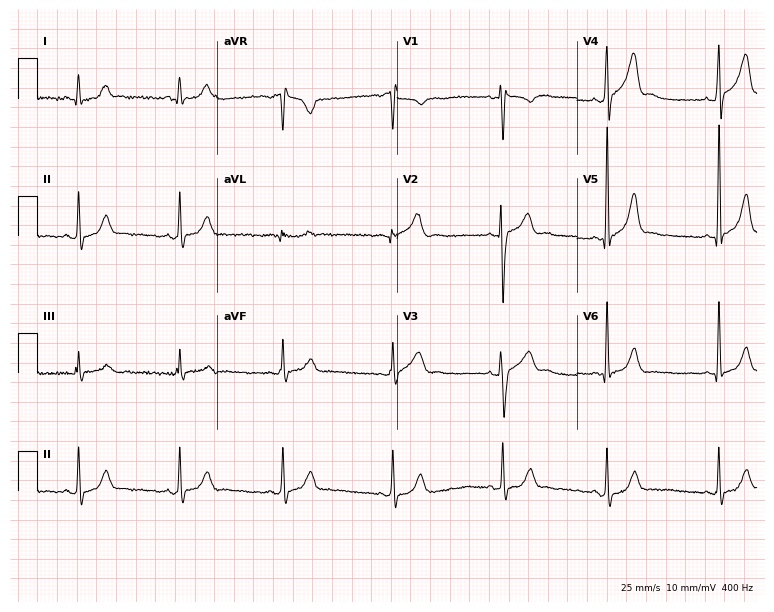
12-lead ECG from a male, 29 years old. Labelled as a normal ECG.